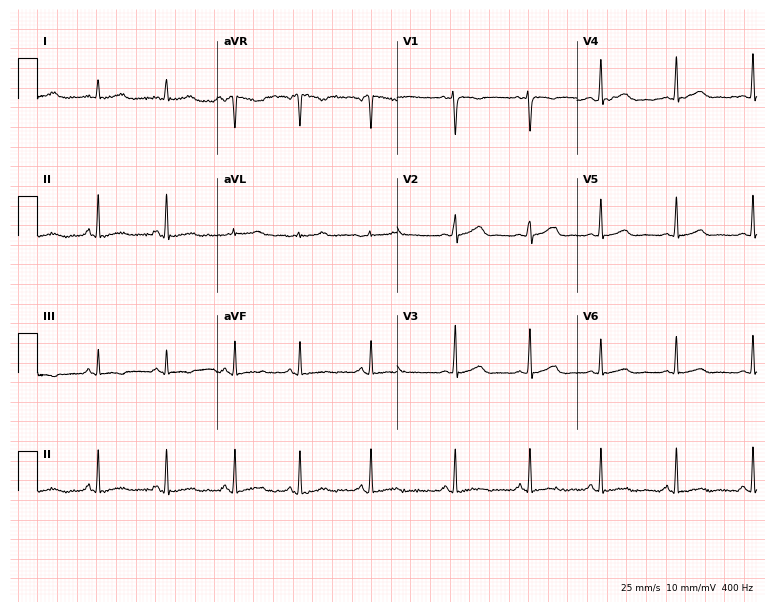
Standard 12-lead ECG recorded from a 26-year-old female patient. None of these six findings is recorded: first-degree AV block, right bundle branch block, left bundle branch block, sinus bradycardia, atrial fibrillation, sinus tachycardia. Other findings, if any, are not listed.